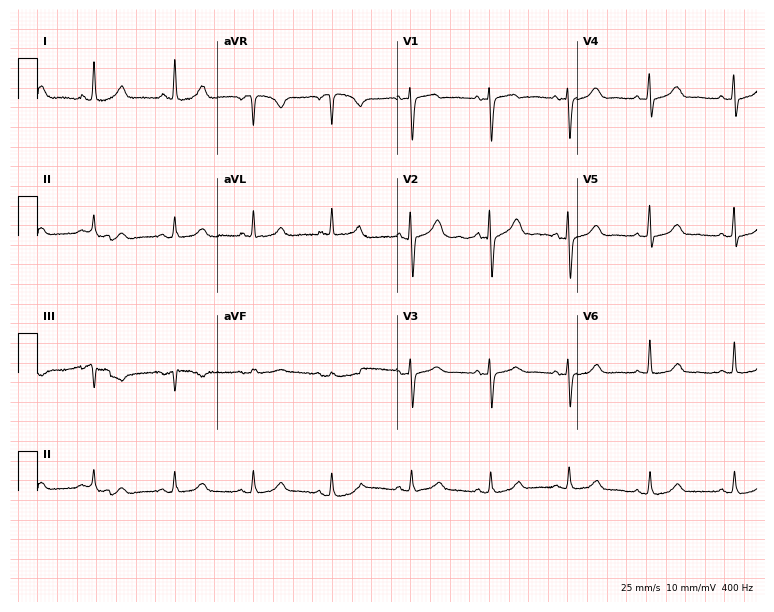
12-lead ECG (7.3-second recording at 400 Hz) from a 46-year-old woman. Labelled as a normal ECG.